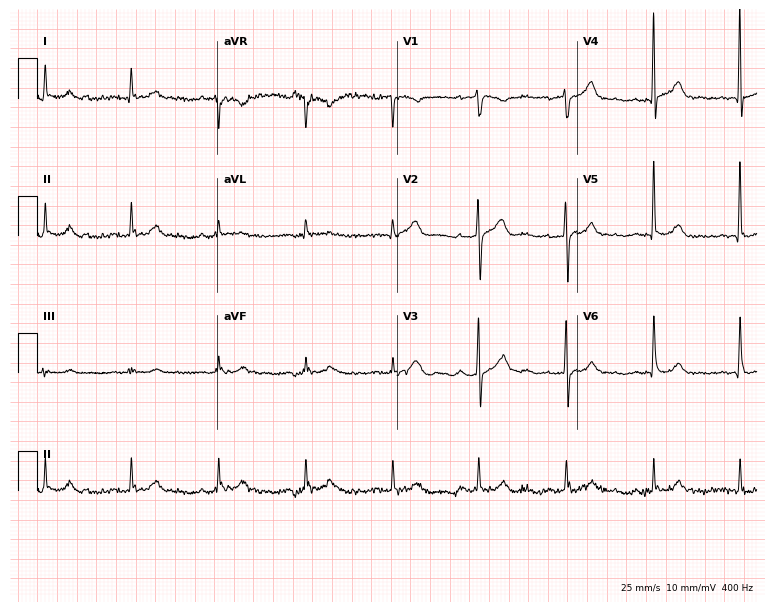
Electrocardiogram, a male, 62 years old. Overall reading on record: normal ECG.